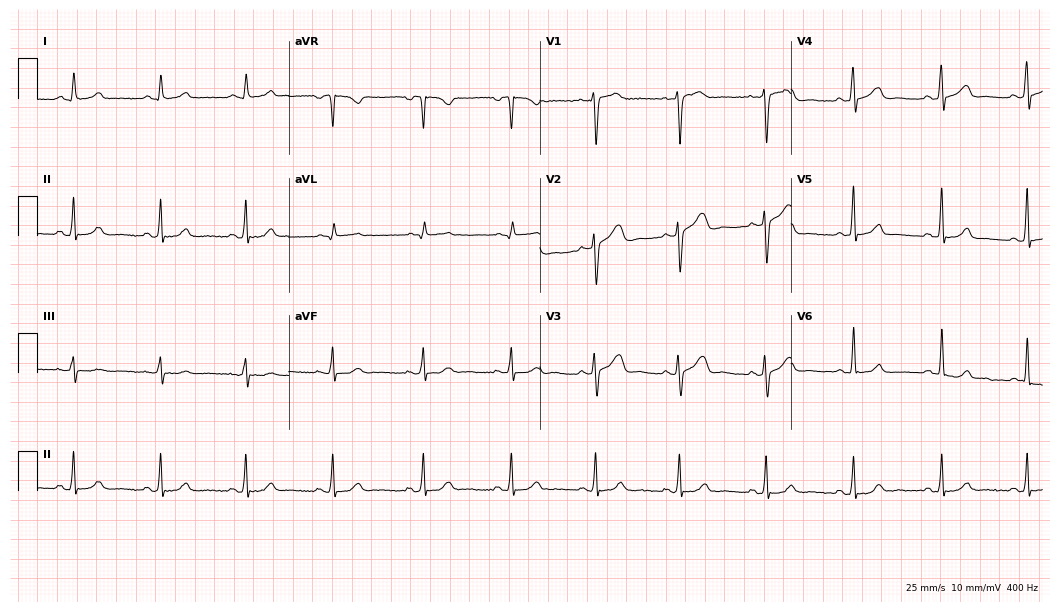
Electrocardiogram, a 36-year-old female. Overall reading on record: normal ECG.